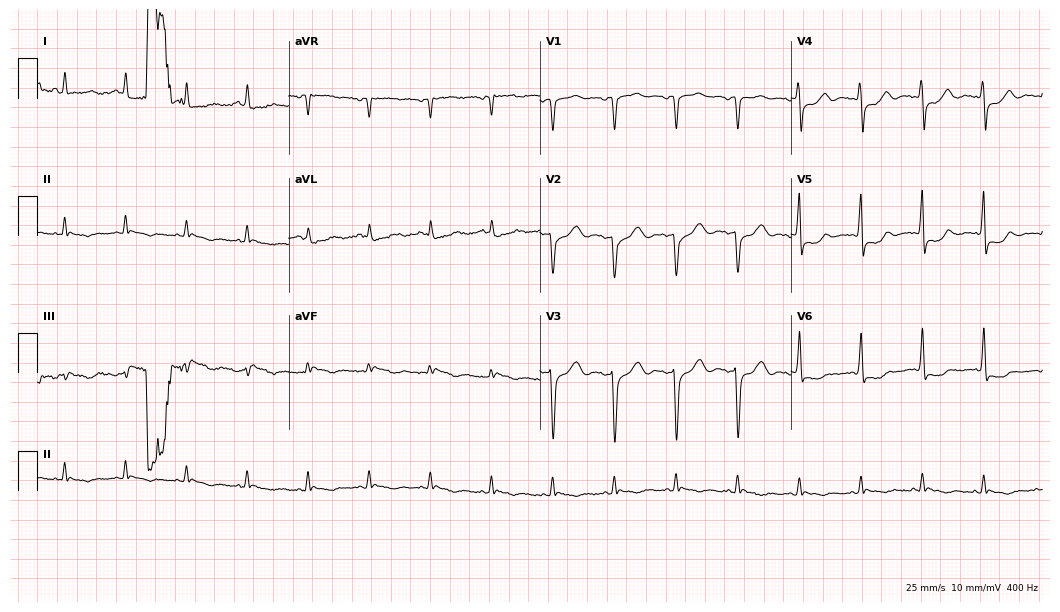
Resting 12-lead electrocardiogram (10.2-second recording at 400 Hz). Patient: a woman, 46 years old. None of these six findings is recorded: first-degree AV block, right bundle branch block, left bundle branch block, sinus bradycardia, atrial fibrillation, sinus tachycardia.